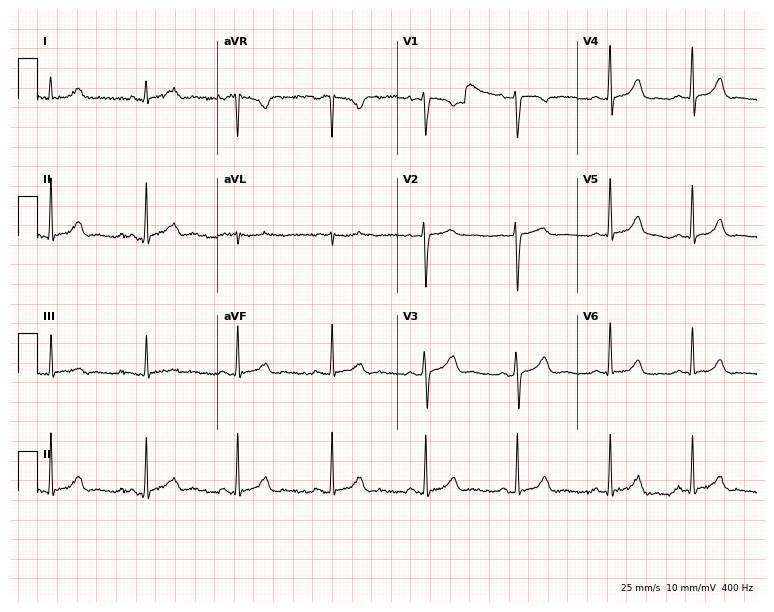
ECG (7.3-second recording at 400 Hz) — a female, 40 years old. Screened for six findings — first-degree AV block, right bundle branch block, left bundle branch block, sinus bradycardia, atrial fibrillation, sinus tachycardia — none is recorded.